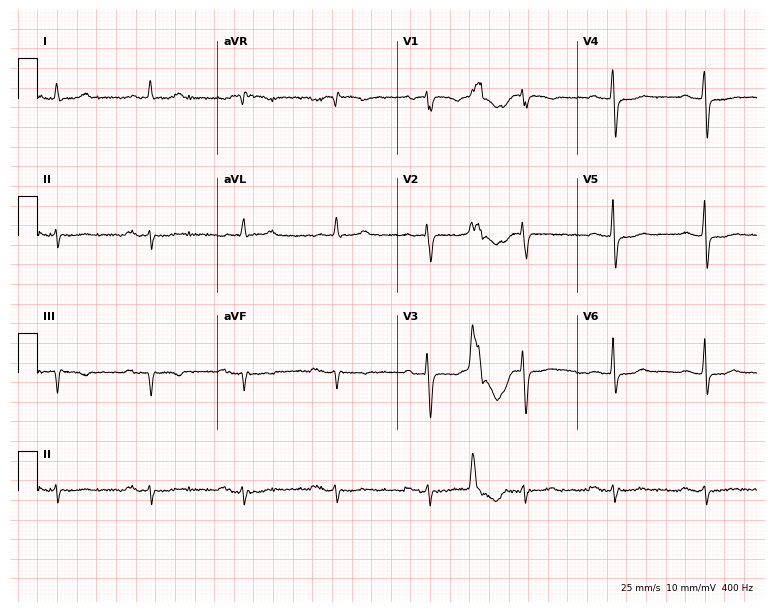
Resting 12-lead electrocardiogram. Patient: a man, 79 years old. The tracing shows first-degree AV block.